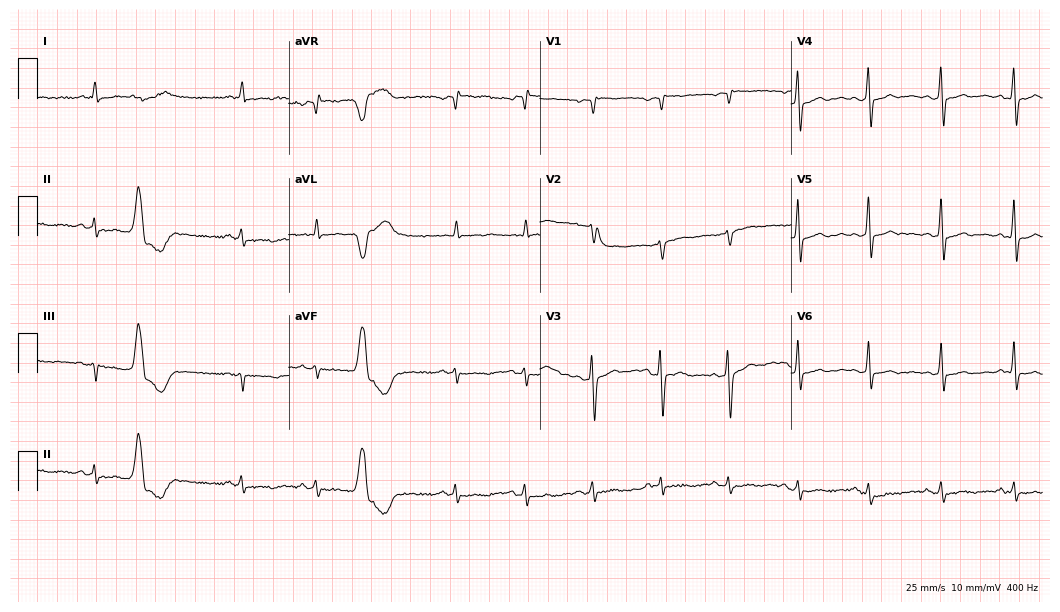
12-lead ECG from a male patient, 55 years old. Screened for six findings — first-degree AV block, right bundle branch block, left bundle branch block, sinus bradycardia, atrial fibrillation, sinus tachycardia — none is recorded. Findings outside these six are not listed.